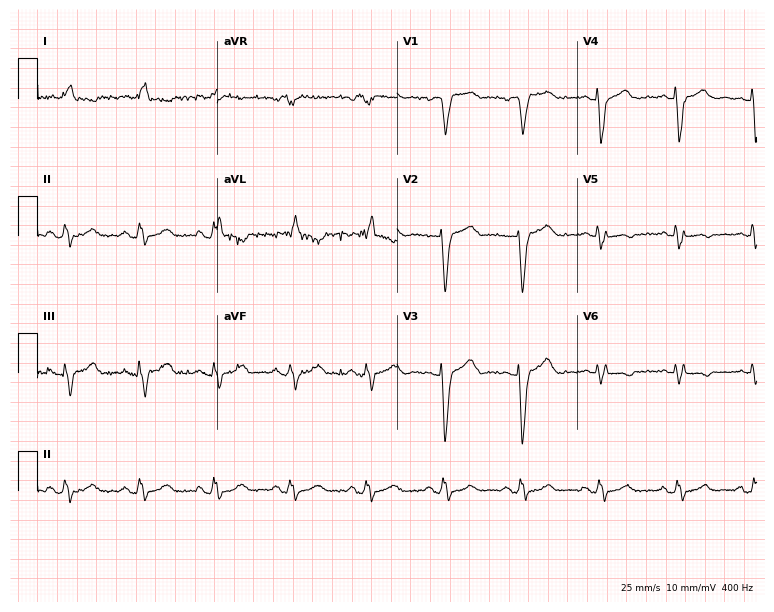
ECG — an 83-year-old female patient. Findings include left bundle branch block.